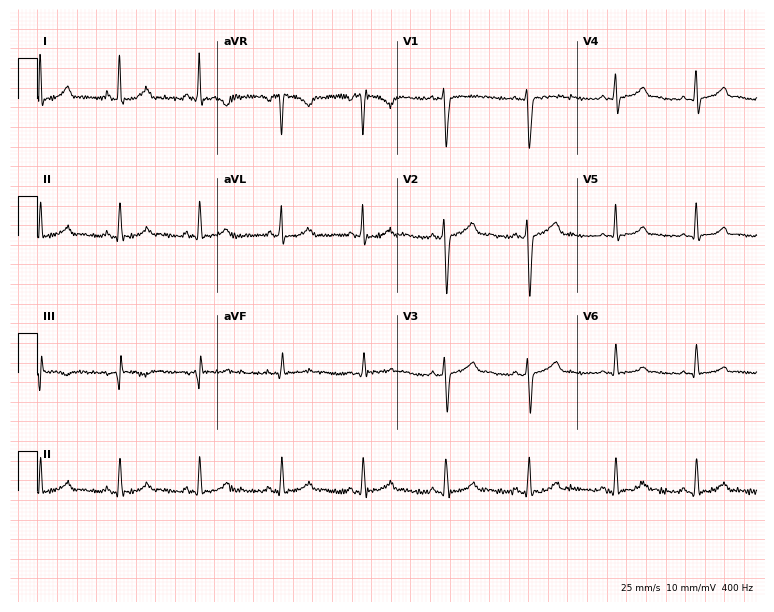
12-lead ECG (7.3-second recording at 400 Hz) from a female, 26 years old. Labelled as a normal ECG.